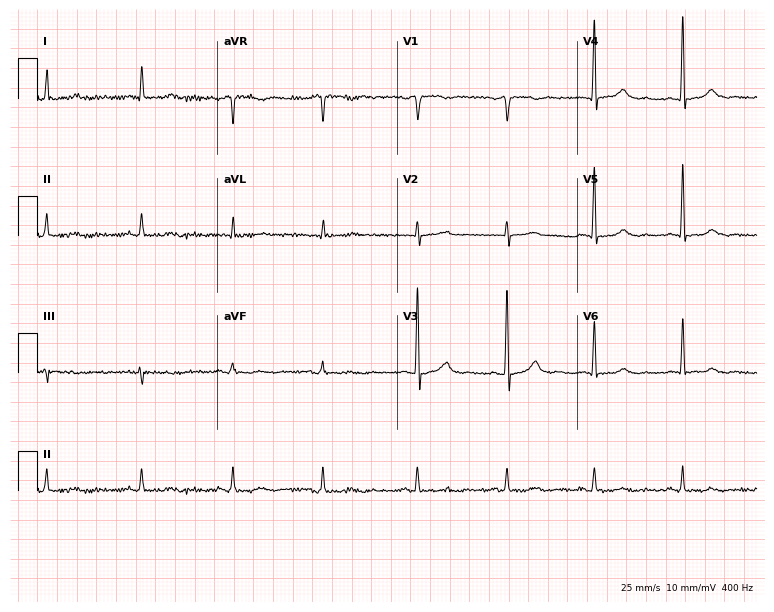
12-lead ECG (7.3-second recording at 400 Hz) from a male patient, 63 years old. Screened for six findings — first-degree AV block, right bundle branch block, left bundle branch block, sinus bradycardia, atrial fibrillation, sinus tachycardia — none is recorded.